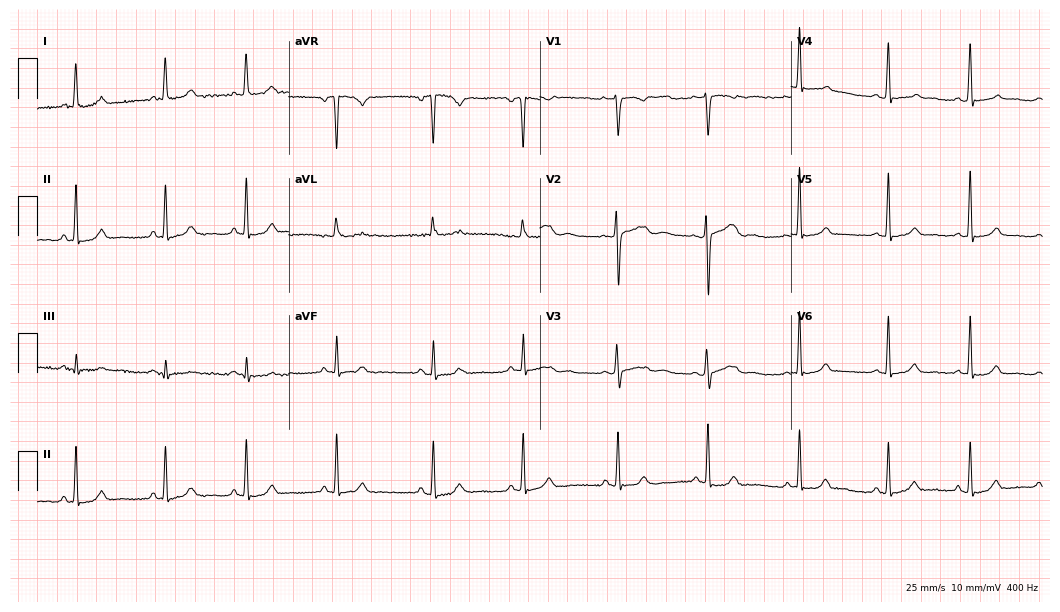
Electrocardiogram (10.2-second recording at 400 Hz), a female patient, 24 years old. Overall reading on record: normal ECG.